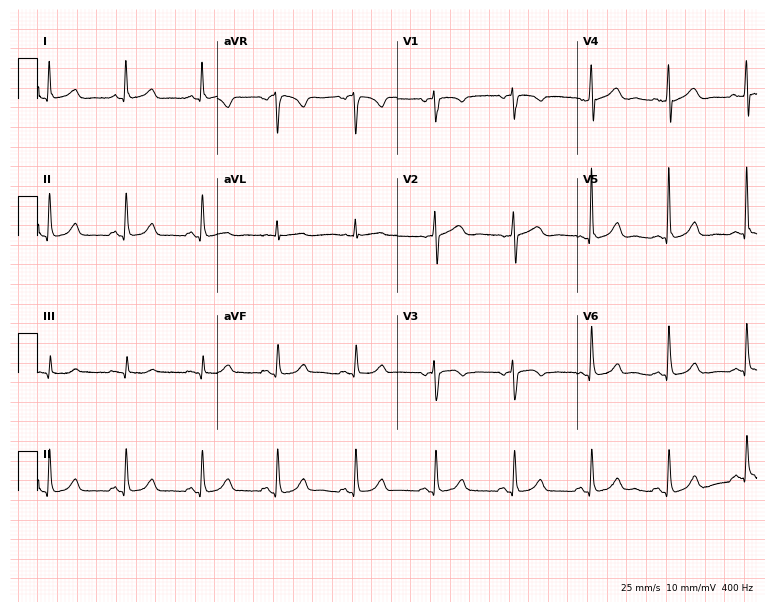
Standard 12-lead ECG recorded from a female patient, 70 years old. Read as a normal ECG.